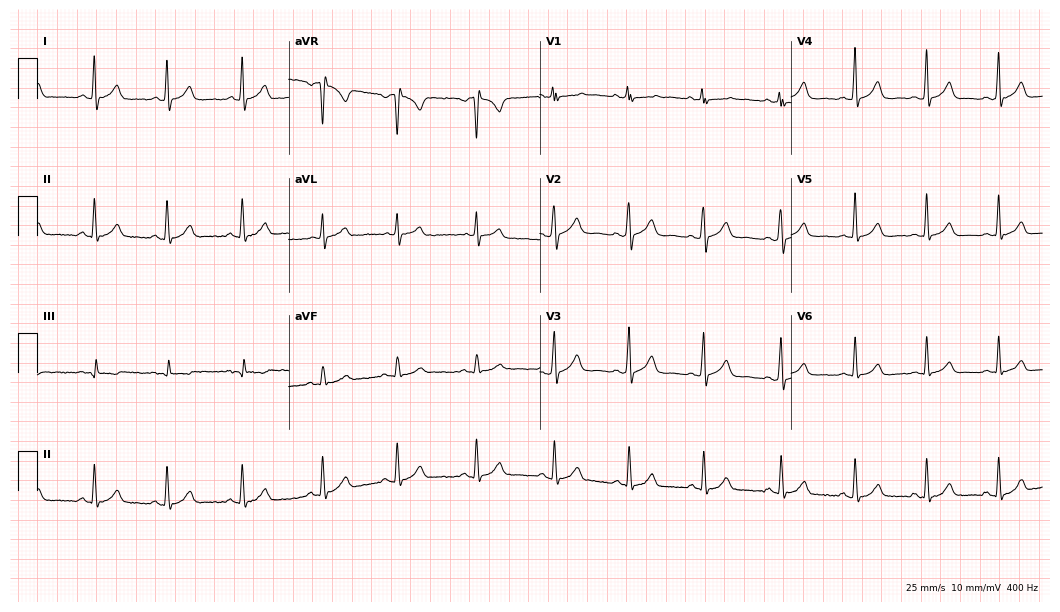
12-lead ECG from a female patient, 24 years old. Screened for six findings — first-degree AV block, right bundle branch block, left bundle branch block, sinus bradycardia, atrial fibrillation, sinus tachycardia — none is recorded. Other findings, if any, are not listed.